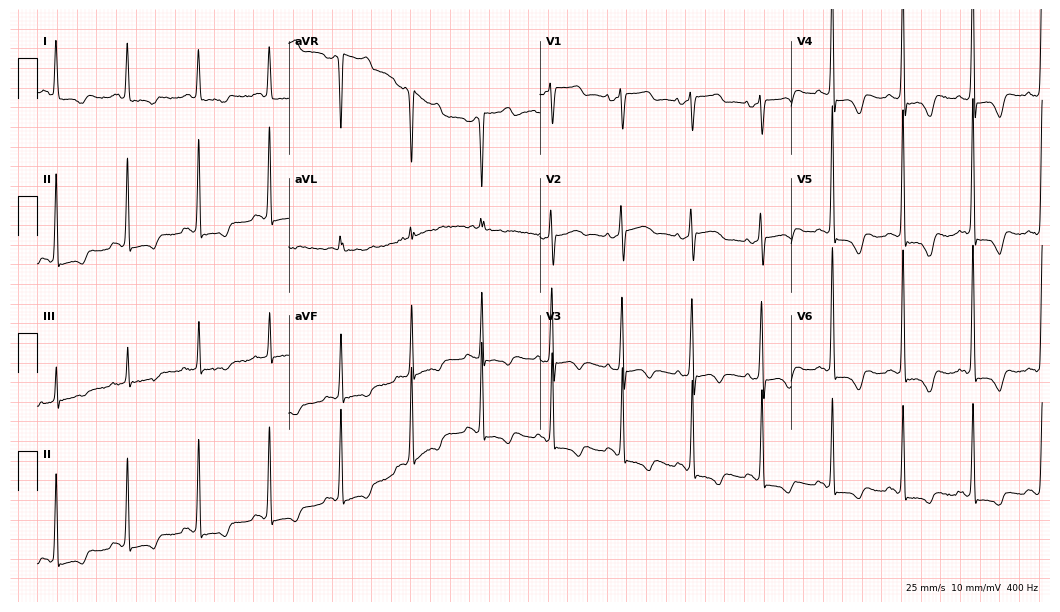
12-lead ECG from a 70-year-old female. No first-degree AV block, right bundle branch block, left bundle branch block, sinus bradycardia, atrial fibrillation or sinus tachycardia recorded for this tracing. Only these six findings were labelled.